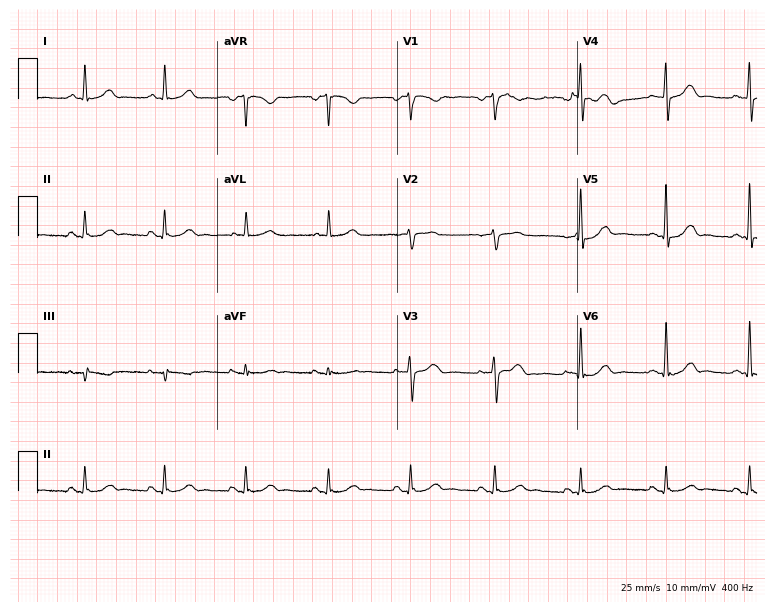
ECG (7.3-second recording at 400 Hz) — a 64-year-old male patient. Screened for six findings — first-degree AV block, right bundle branch block (RBBB), left bundle branch block (LBBB), sinus bradycardia, atrial fibrillation (AF), sinus tachycardia — none is recorded.